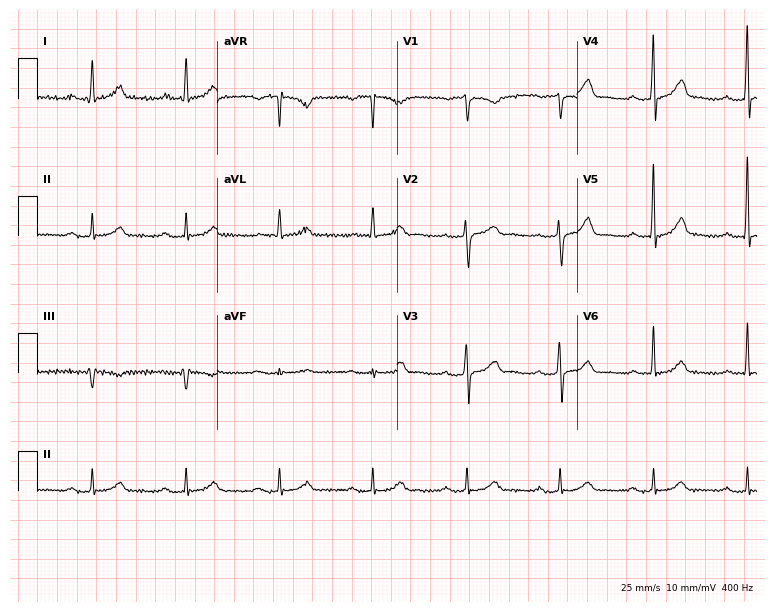
12-lead ECG from a male, 64 years old. Screened for six findings — first-degree AV block, right bundle branch block, left bundle branch block, sinus bradycardia, atrial fibrillation, sinus tachycardia — none is recorded. Only these six findings were labelled.